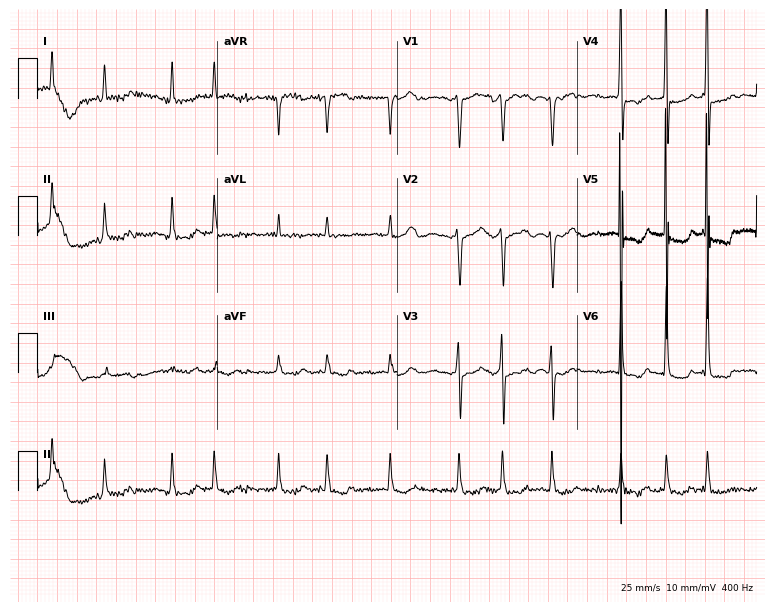
ECG — a female patient, 80 years old. Findings include atrial fibrillation.